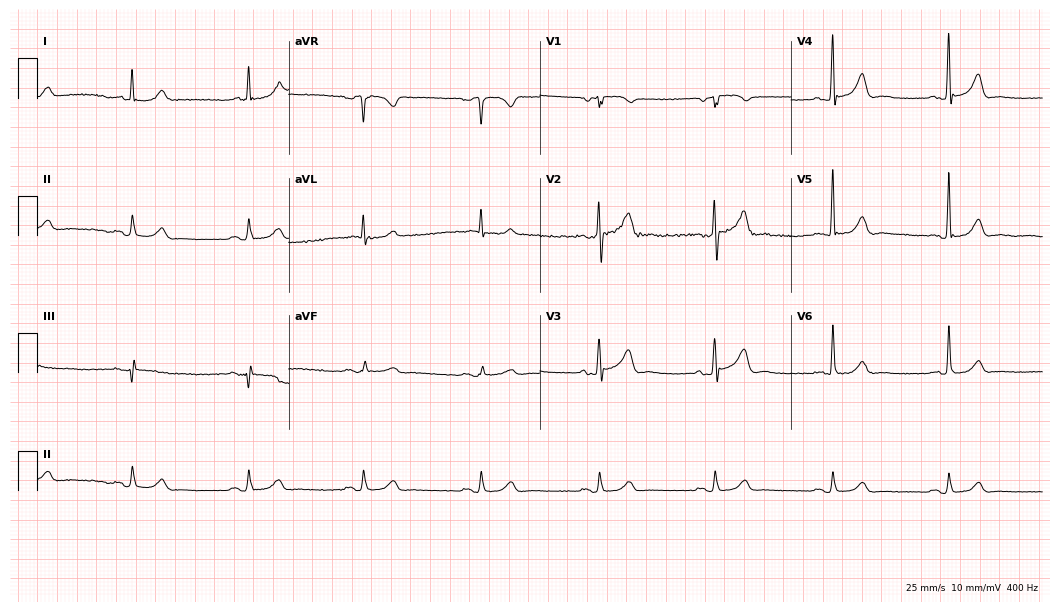
ECG (10.2-second recording at 400 Hz) — a 70-year-old male patient. Labelled as a normal ECG.